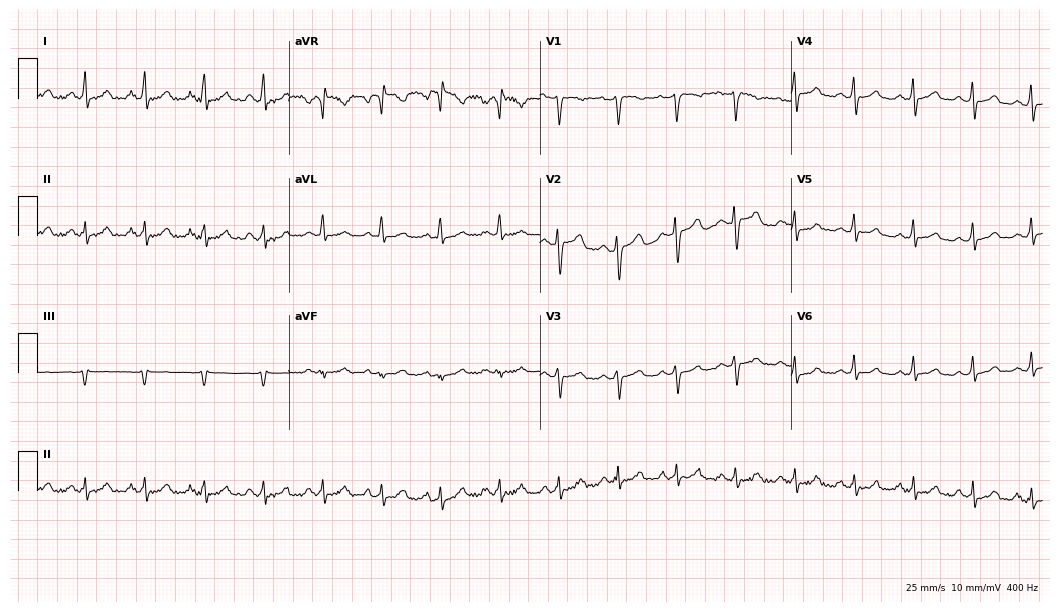
ECG (10.2-second recording at 400 Hz) — a female, 43 years old. Labelled as a normal ECG.